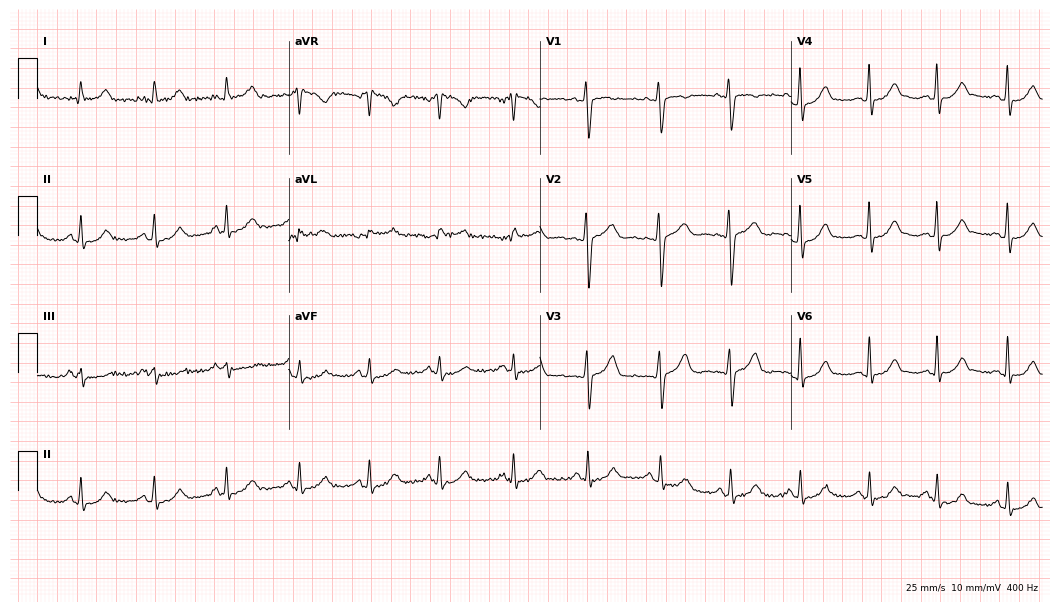
12-lead ECG from a female patient, 41 years old. Recorded interpretation: within normal limits.